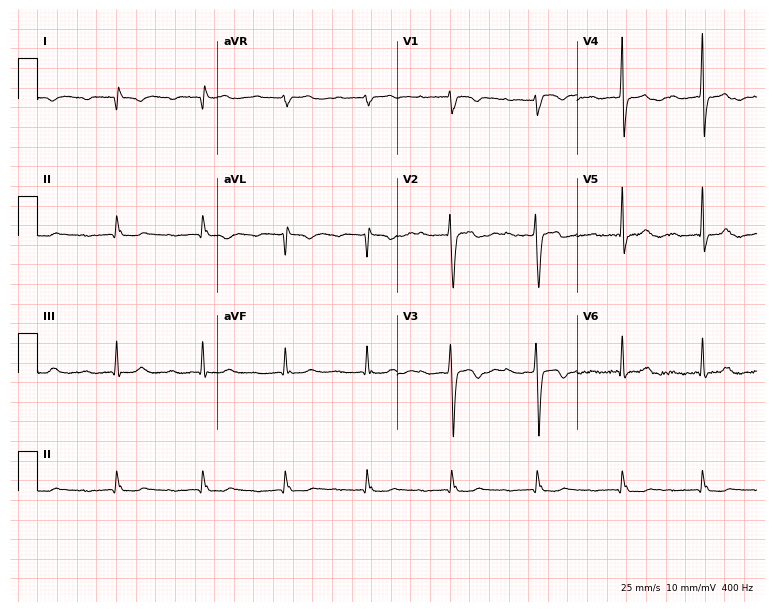
12-lead ECG from a woman, 25 years old. Findings include first-degree AV block.